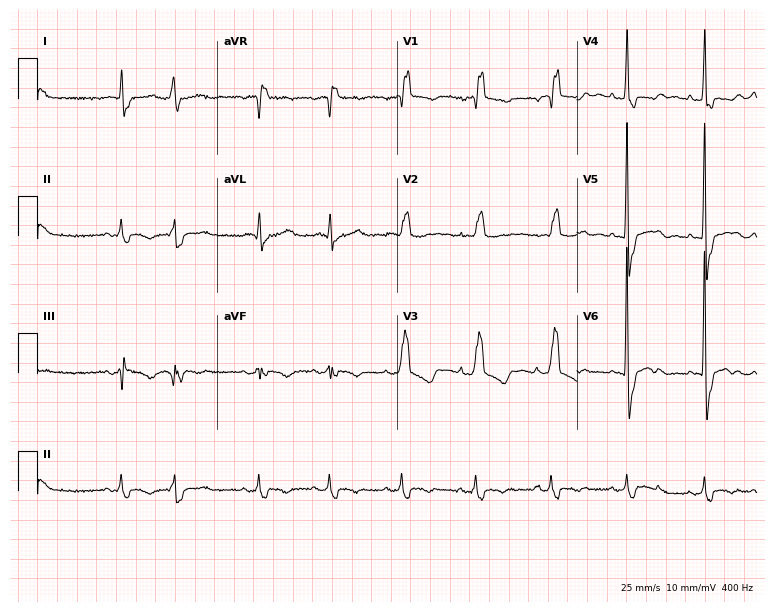
Electrocardiogram, a female patient, 83 years old. Interpretation includes right bundle branch block.